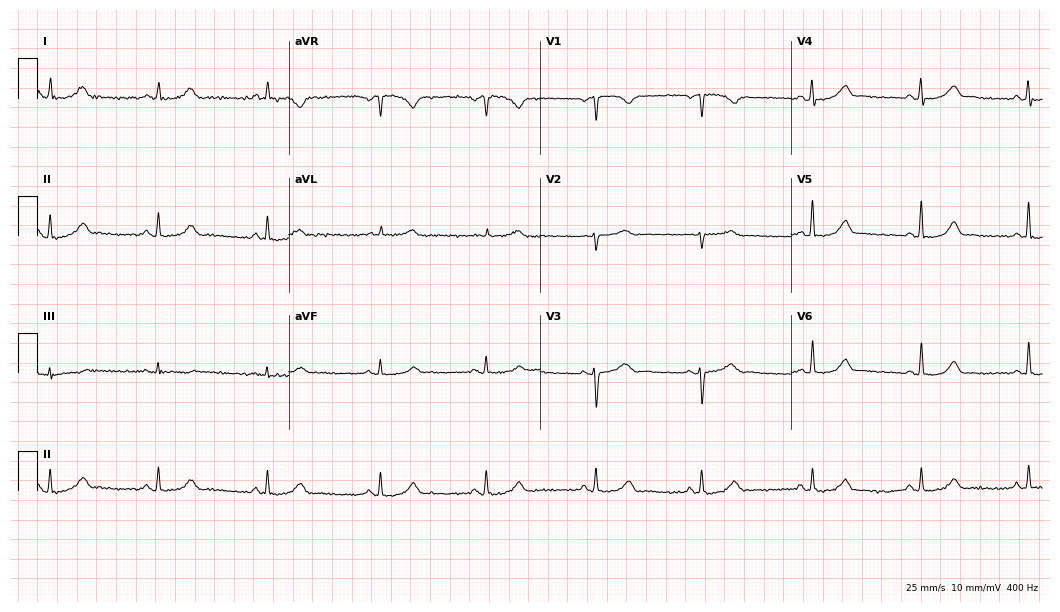
Standard 12-lead ECG recorded from a 42-year-old woman. Read as a normal ECG.